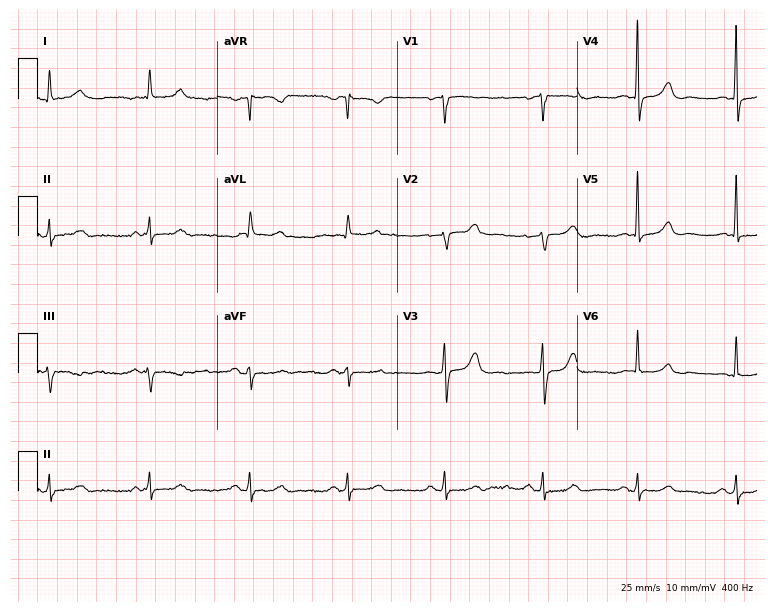
12-lead ECG from a woman, 70 years old (7.3-second recording at 400 Hz). No first-degree AV block, right bundle branch block, left bundle branch block, sinus bradycardia, atrial fibrillation or sinus tachycardia recorded for this tracing.